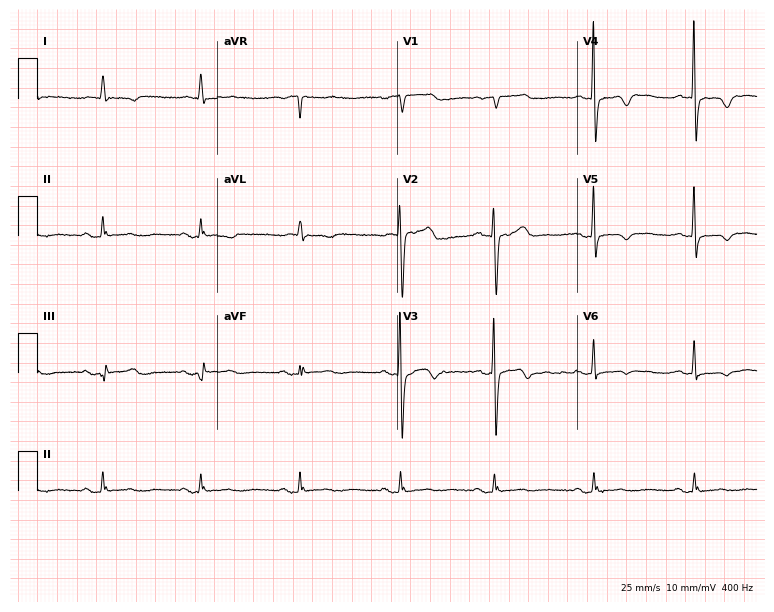
12-lead ECG (7.3-second recording at 400 Hz) from a woman, 77 years old. Screened for six findings — first-degree AV block, right bundle branch block (RBBB), left bundle branch block (LBBB), sinus bradycardia, atrial fibrillation (AF), sinus tachycardia — none is recorded.